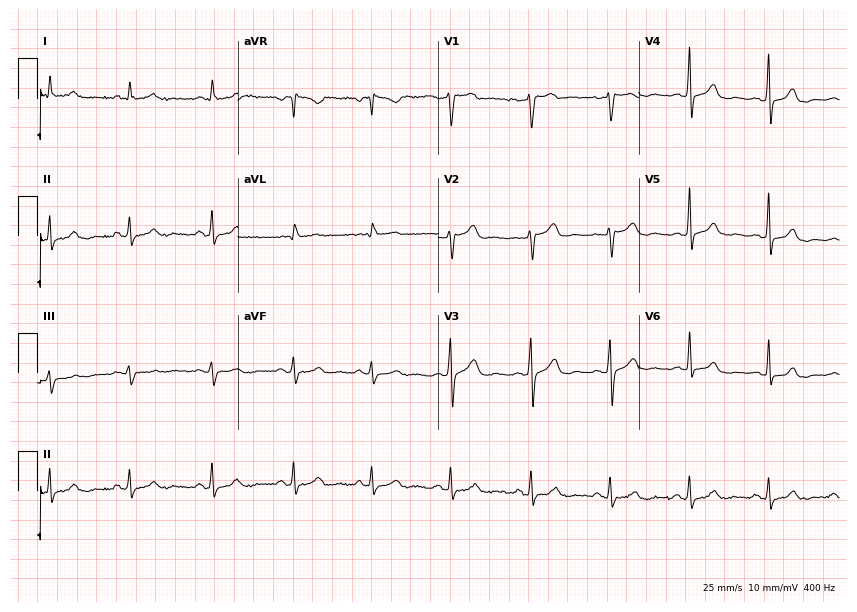
Electrocardiogram, a 41-year-old woman. Overall reading on record: normal ECG.